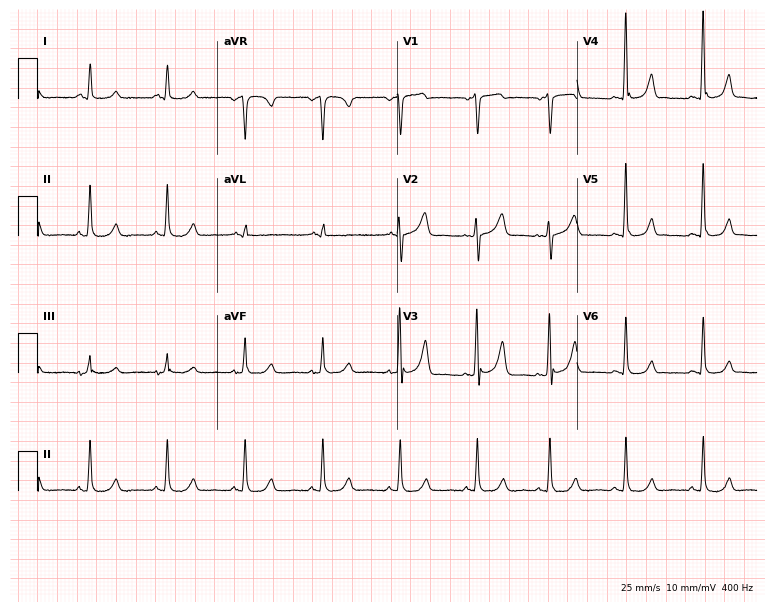
Standard 12-lead ECG recorded from a female, 66 years old. None of these six findings is recorded: first-degree AV block, right bundle branch block, left bundle branch block, sinus bradycardia, atrial fibrillation, sinus tachycardia. Only these six findings were labelled.